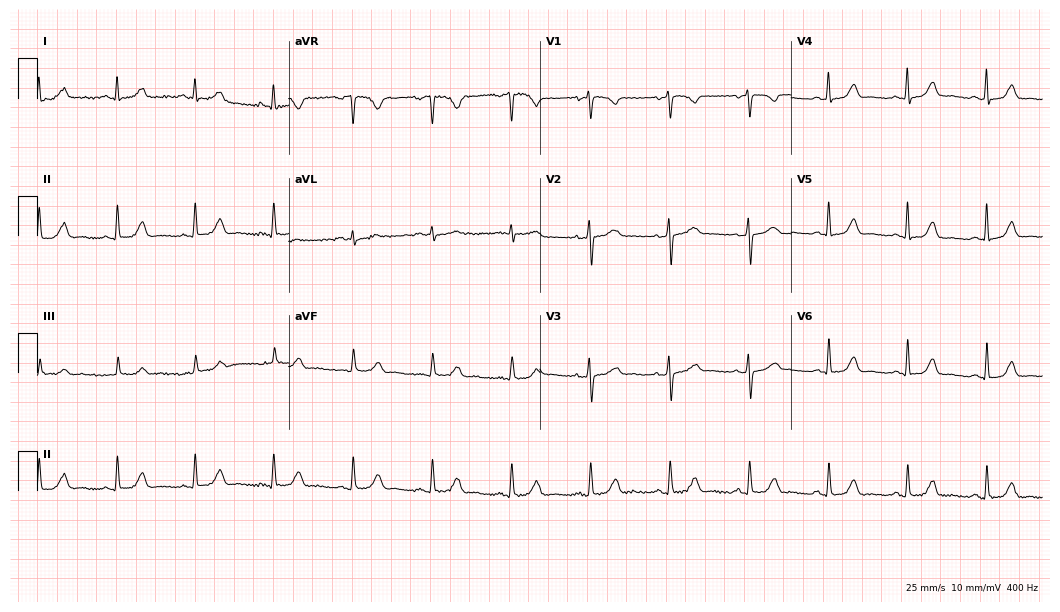
Resting 12-lead electrocardiogram (10.2-second recording at 400 Hz). Patient: a 68-year-old female. Read as a normal ECG.